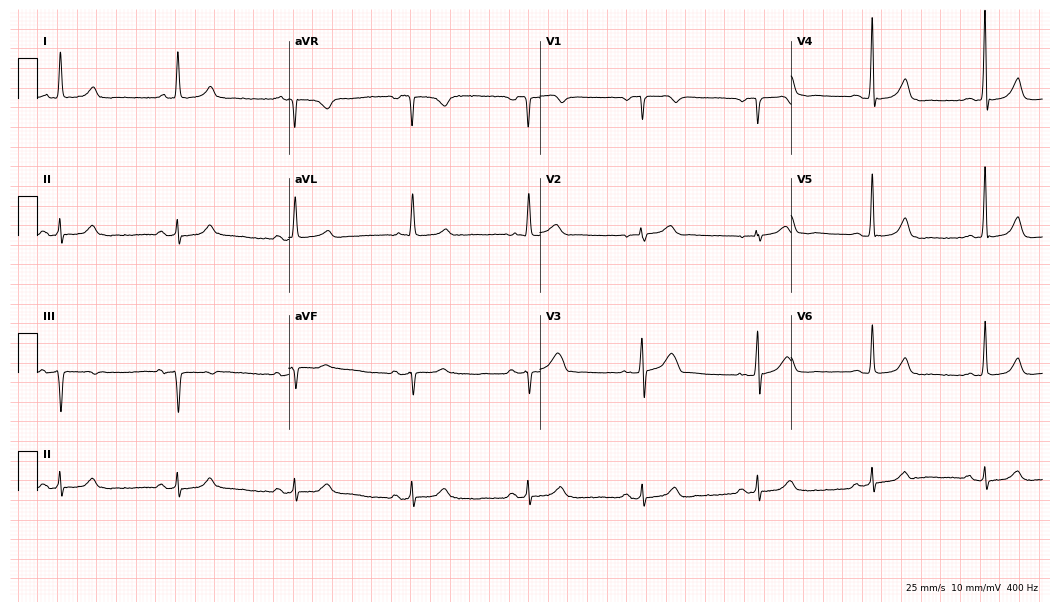
12-lead ECG (10.2-second recording at 400 Hz) from a 79-year-old male. Findings include sinus bradycardia (a sinus rate of 50 beats per minute or less).